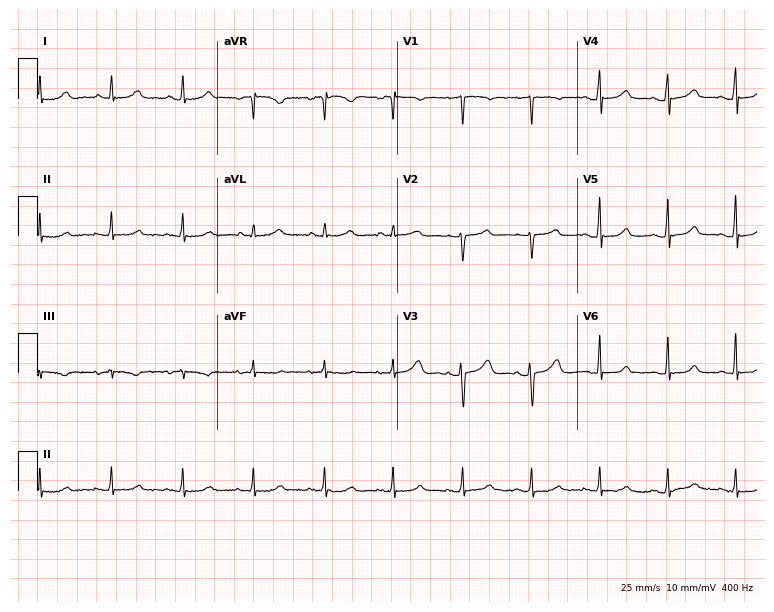
12-lead ECG (7.3-second recording at 400 Hz) from a 39-year-old female. Screened for six findings — first-degree AV block, right bundle branch block (RBBB), left bundle branch block (LBBB), sinus bradycardia, atrial fibrillation (AF), sinus tachycardia — none is recorded. Findings outside these six are not listed.